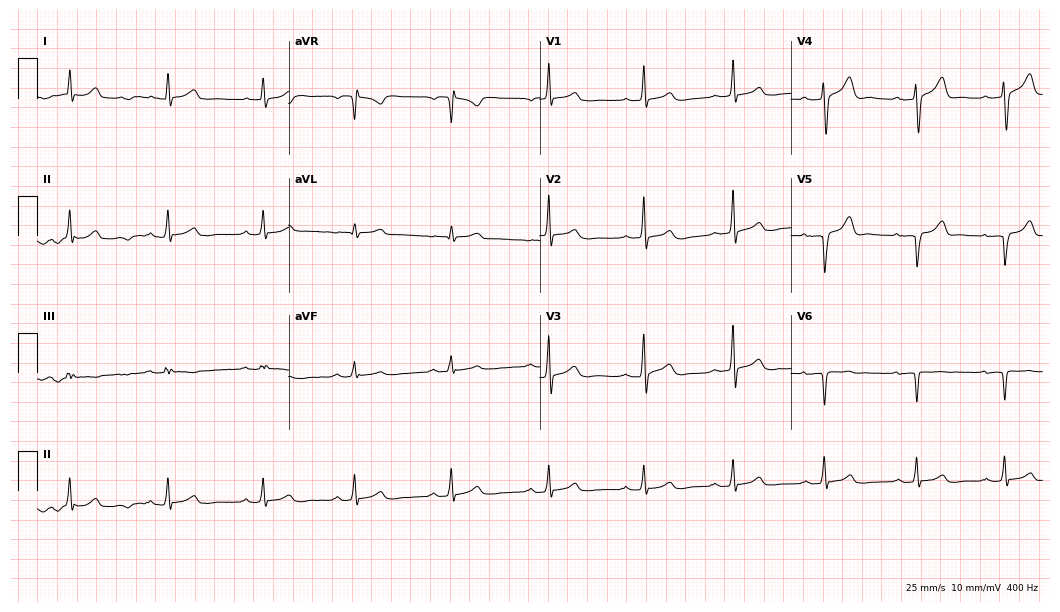
Standard 12-lead ECG recorded from a male, 34 years old. None of these six findings is recorded: first-degree AV block, right bundle branch block (RBBB), left bundle branch block (LBBB), sinus bradycardia, atrial fibrillation (AF), sinus tachycardia.